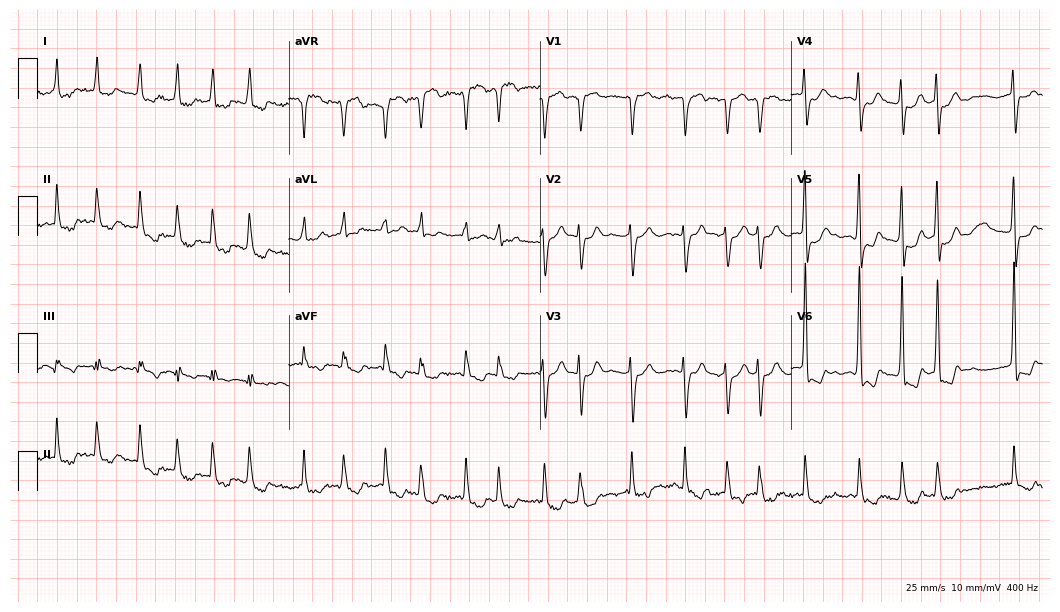
ECG — a female, 81 years old. Findings include atrial fibrillation.